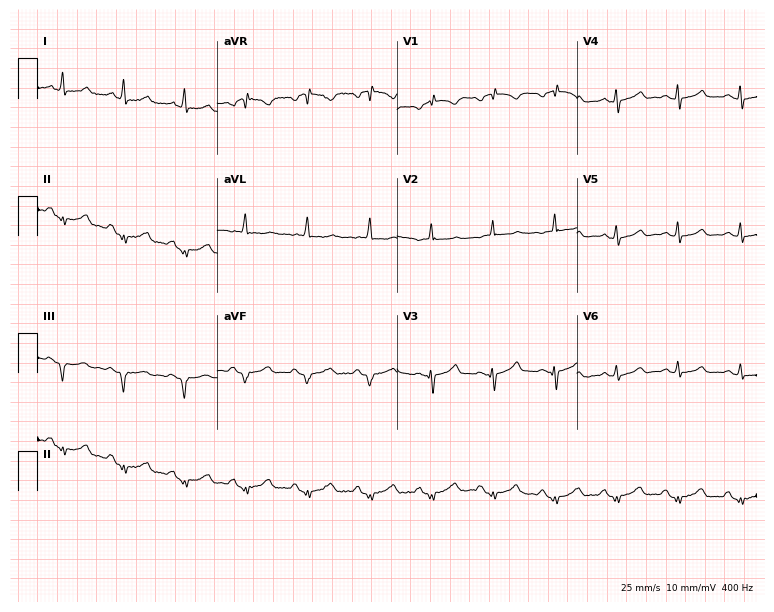
Standard 12-lead ECG recorded from a male, 68 years old. None of these six findings is recorded: first-degree AV block, right bundle branch block (RBBB), left bundle branch block (LBBB), sinus bradycardia, atrial fibrillation (AF), sinus tachycardia. Other findings, if any, are not listed.